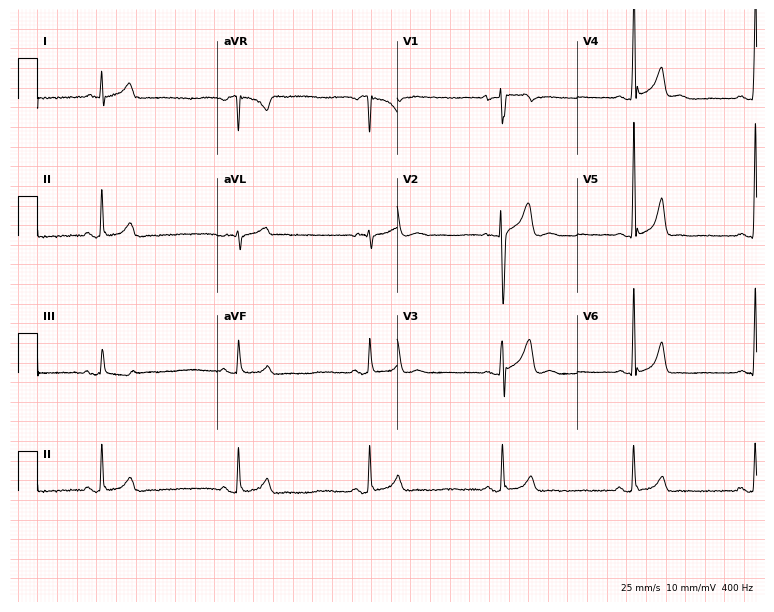
Standard 12-lead ECG recorded from a man, 18 years old (7.3-second recording at 400 Hz). The tracing shows sinus bradycardia (a sinus rate of 50 beats per minute or less).